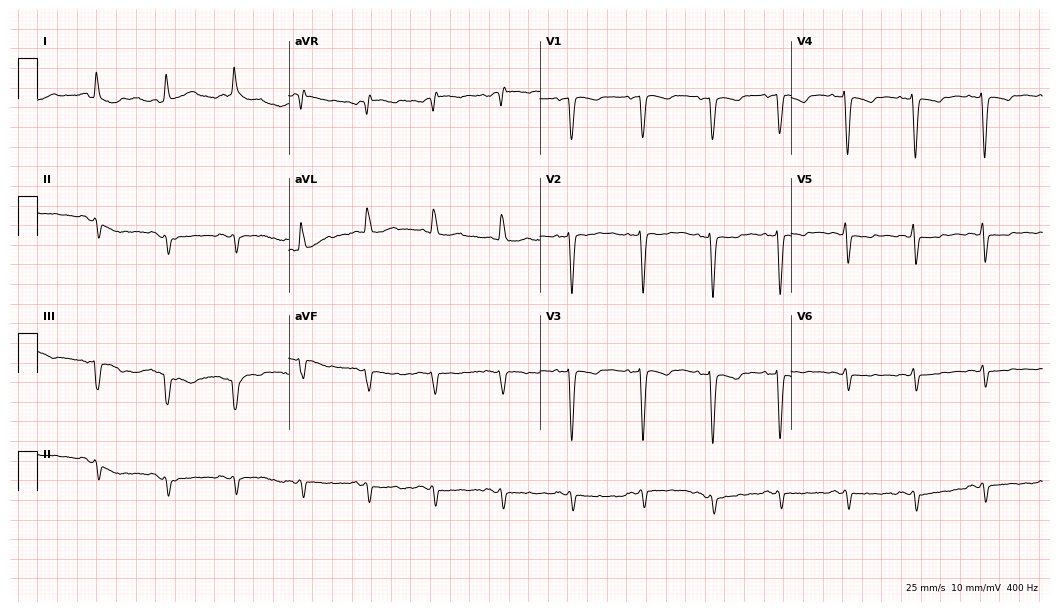
ECG (10.2-second recording at 400 Hz) — a female, 61 years old. Screened for six findings — first-degree AV block, right bundle branch block (RBBB), left bundle branch block (LBBB), sinus bradycardia, atrial fibrillation (AF), sinus tachycardia — none is recorded.